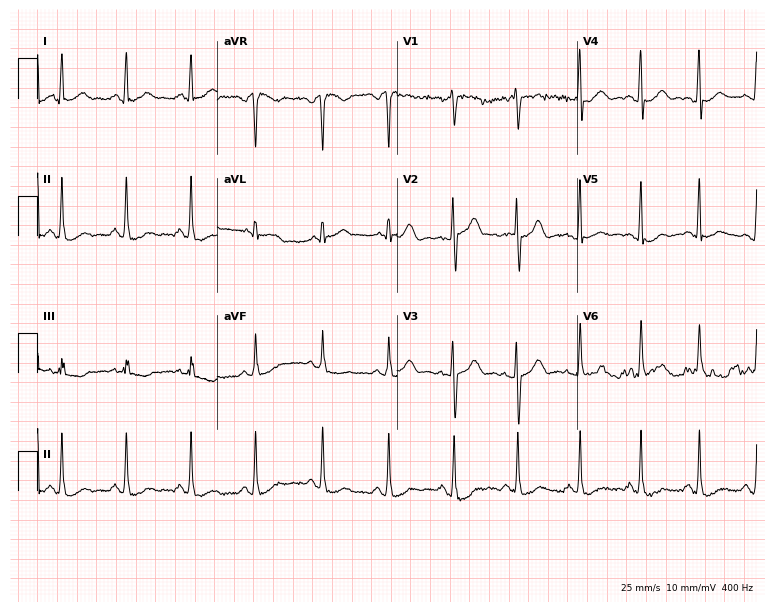
12-lead ECG from a female patient, 43 years old. Recorded interpretation: within normal limits.